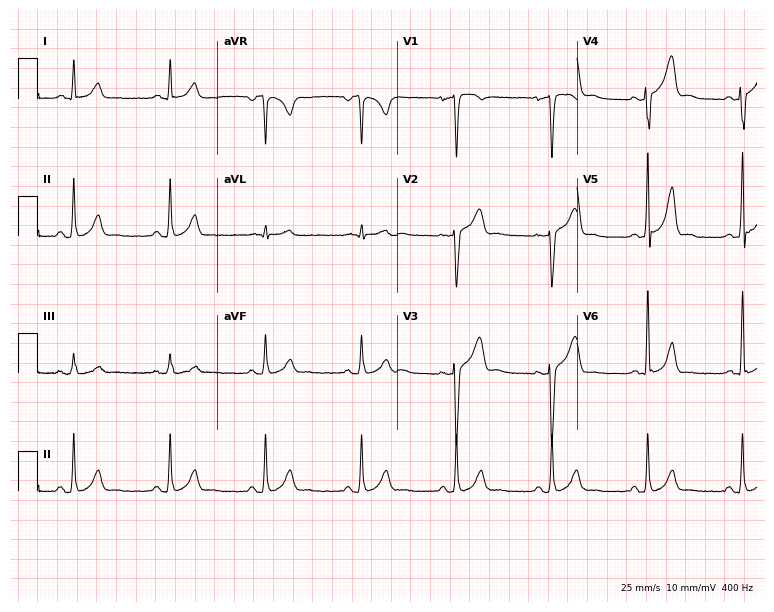
ECG — a 50-year-old man. Screened for six findings — first-degree AV block, right bundle branch block (RBBB), left bundle branch block (LBBB), sinus bradycardia, atrial fibrillation (AF), sinus tachycardia — none is recorded. Other findings, if any, are not listed.